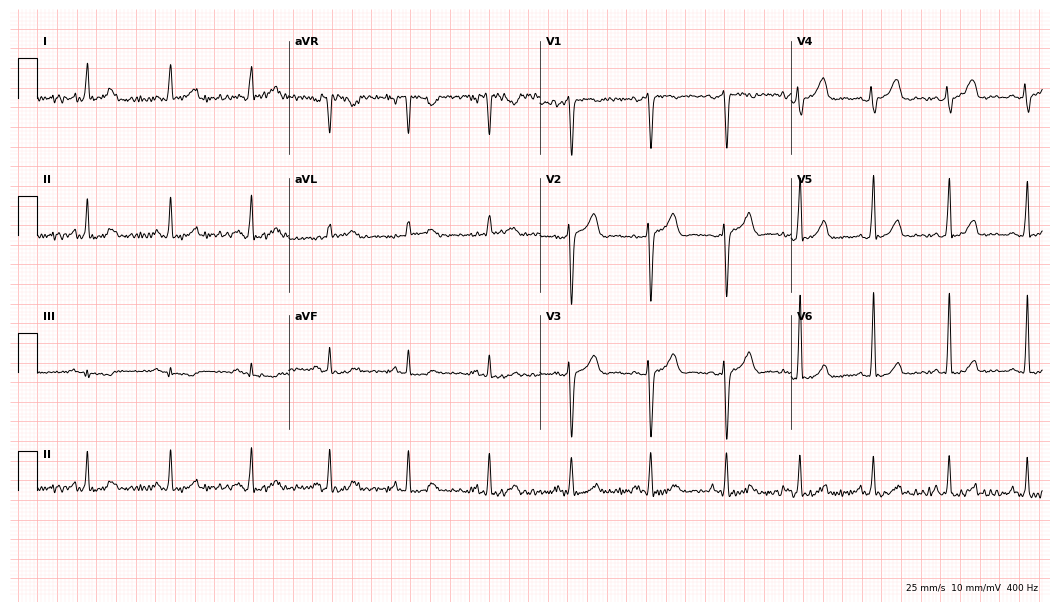
ECG (10.2-second recording at 400 Hz) — a 38-year-old male. Labelled as a normal ECG.